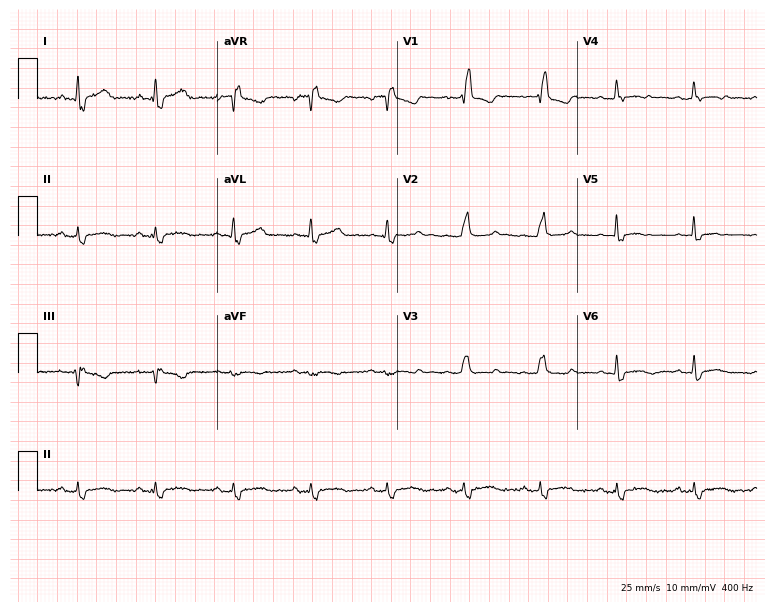
ECG — a 46-year-old woman. Findings include right bundle branch block.